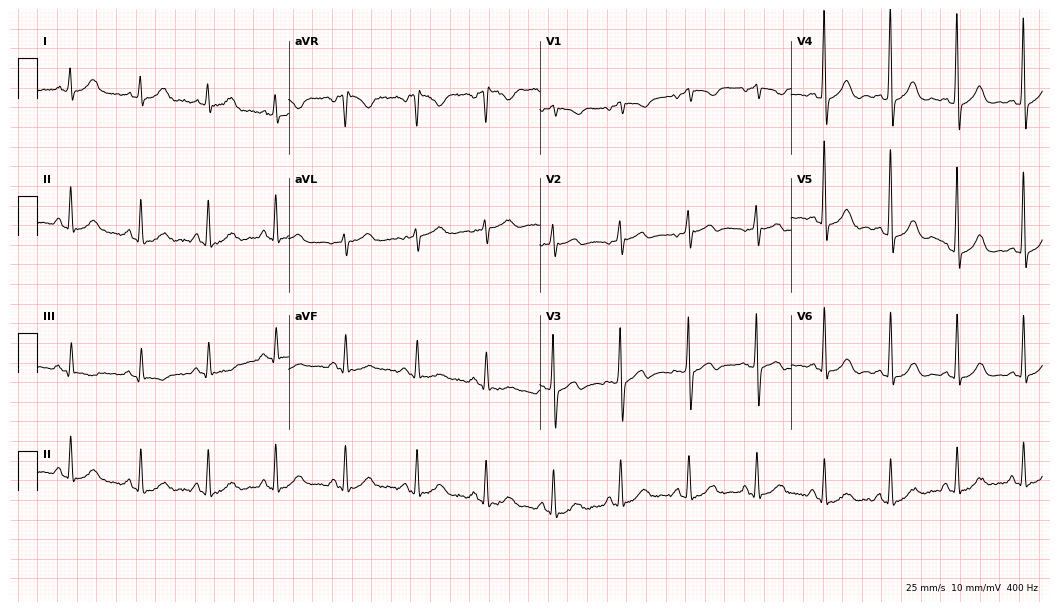
Standard 12-lead ECG recorded from a woman, 70 years old (10.2-second recording at 400 Hz). Read as a normal ECG.